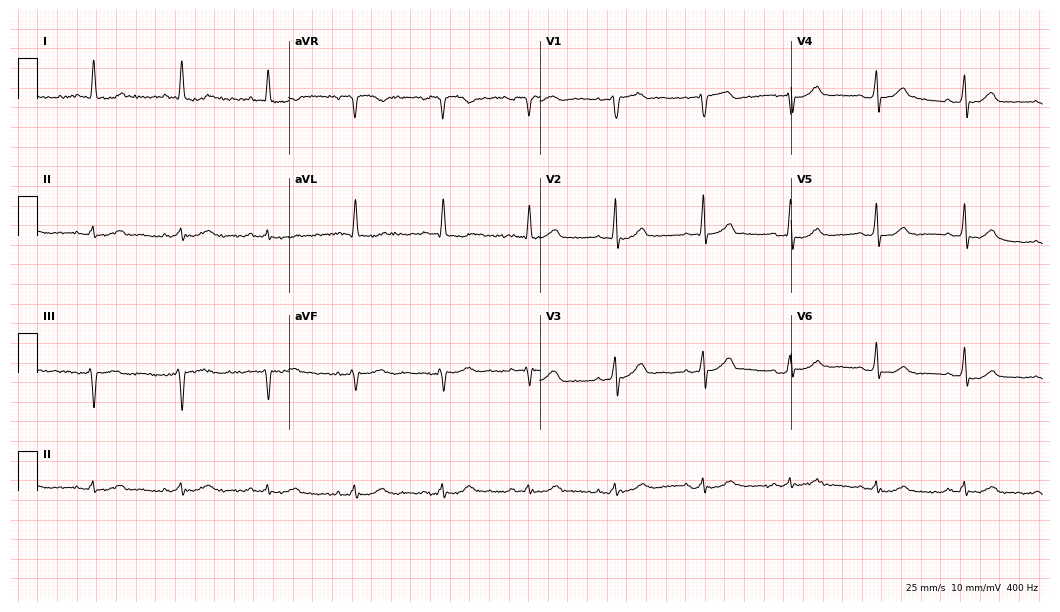
12-lead ECG from a male patient, 59 years old (10.2-second recording at 400 Hz). Recorded interpretation: within normal limits.